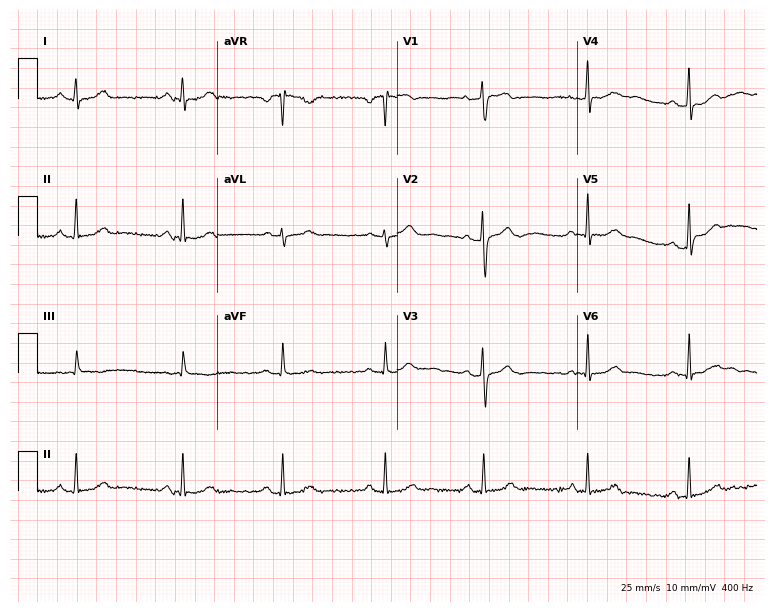
12-lead ECG from a 27-year-old woman. Recorded interpretation: within normal limits.